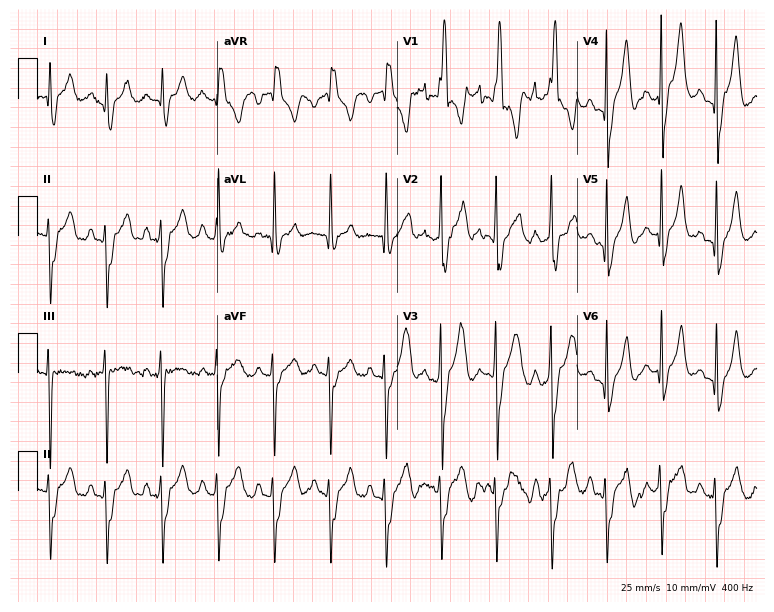
Electrocardiogram (7.3-second recording at 400 Hz), a 27-year-old male. Interpretation includes right bundle branch block, sinus tachycardia (a sinus rate of 100 beats per minute or more).